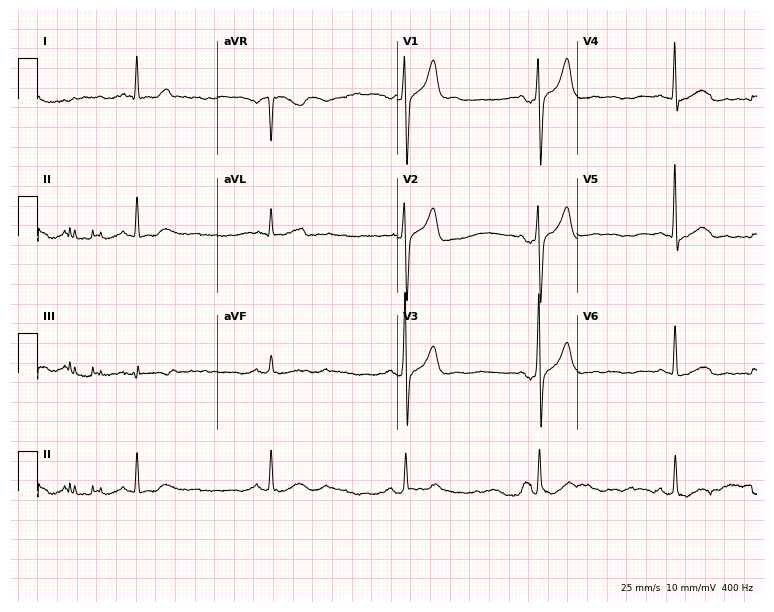
Resting 12-lead electrocardiogram (7.3-second recording at 400 Hz). Patient: a 70-year-old male. The tracing shows sinus bradycardia (a sinus rate of 50 beats per minute or less).